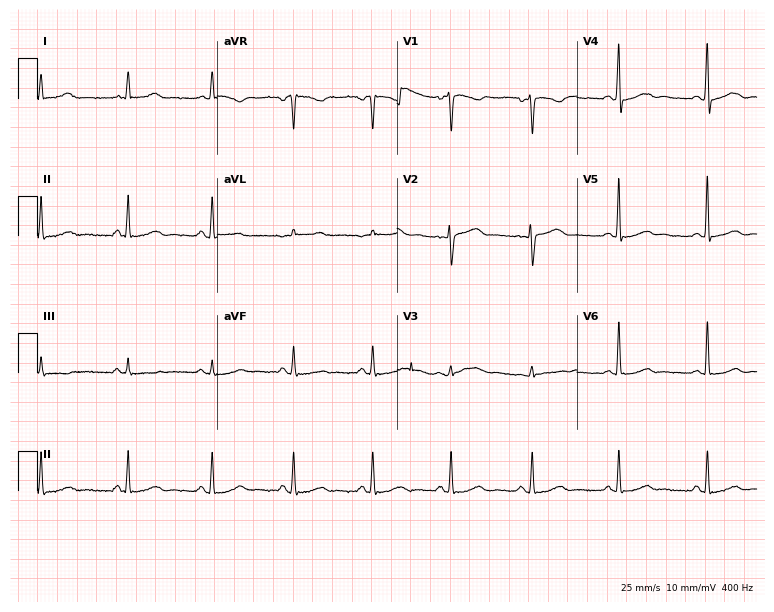
Electrocardiogram, a 50-year-old woman. Overall reading on record: normal ECG.